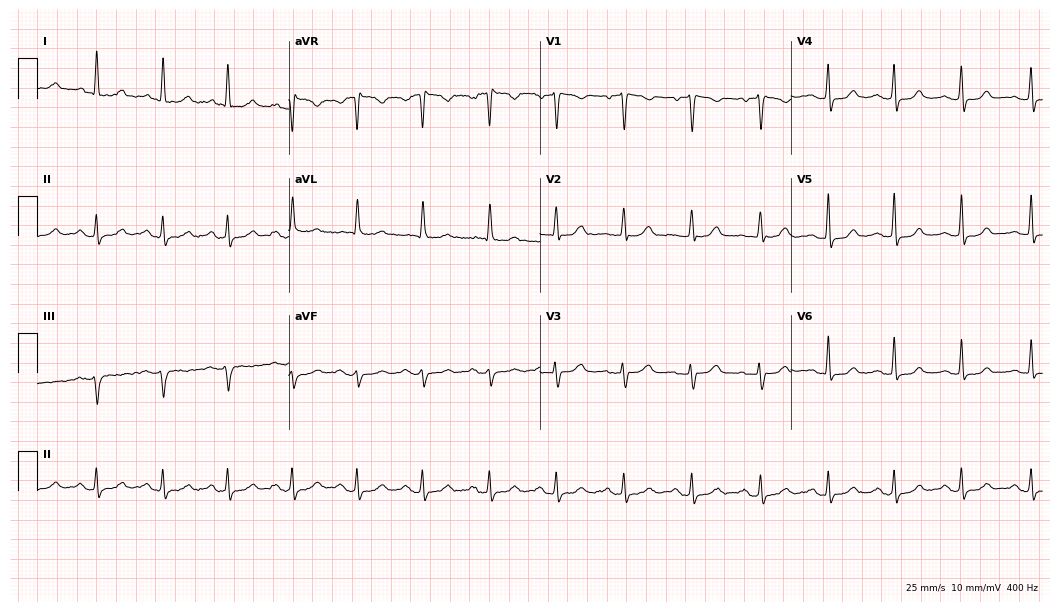
ECG (10.2-second recording at 400 Hz) — a female patient, 67 years old. Screened for six findings — first-degree AV block, right bundle branch block, left bundle branch block, sinus bradycardia, atrial fibrillation, sinus tachycardia — none is recorded. Other findings, if any, are not listed.